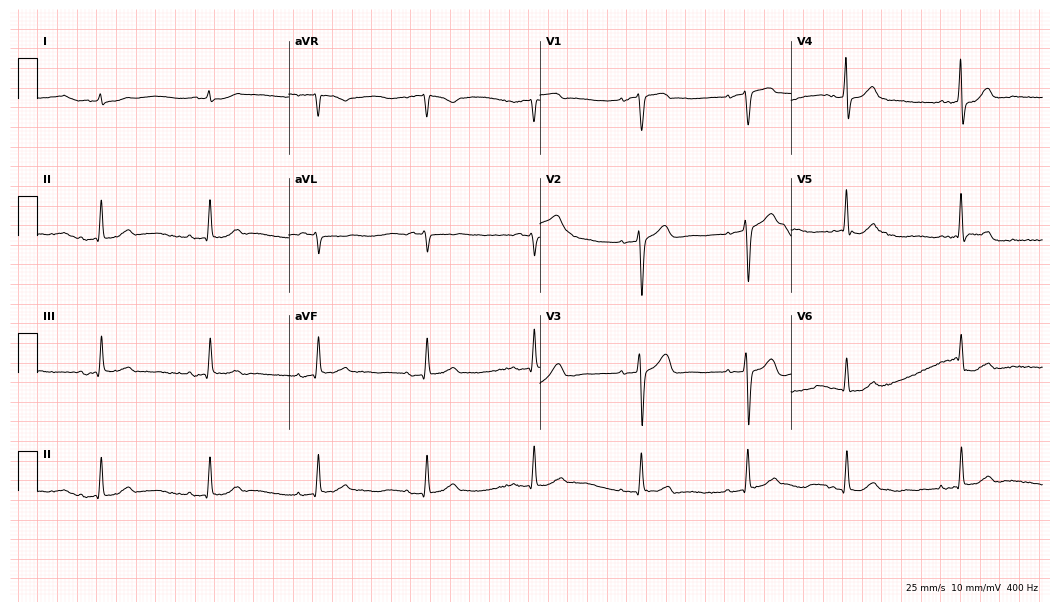
Standard 12-lead ECG recorded from a 79-year-old male patient (10.2-second recording at 400 Hz). None of these six findings is recorded: first-degree AV block, right bundle branch block, left bundle branch block, sinus bradycardia, atrial fibrillation, sinus tachycardia.